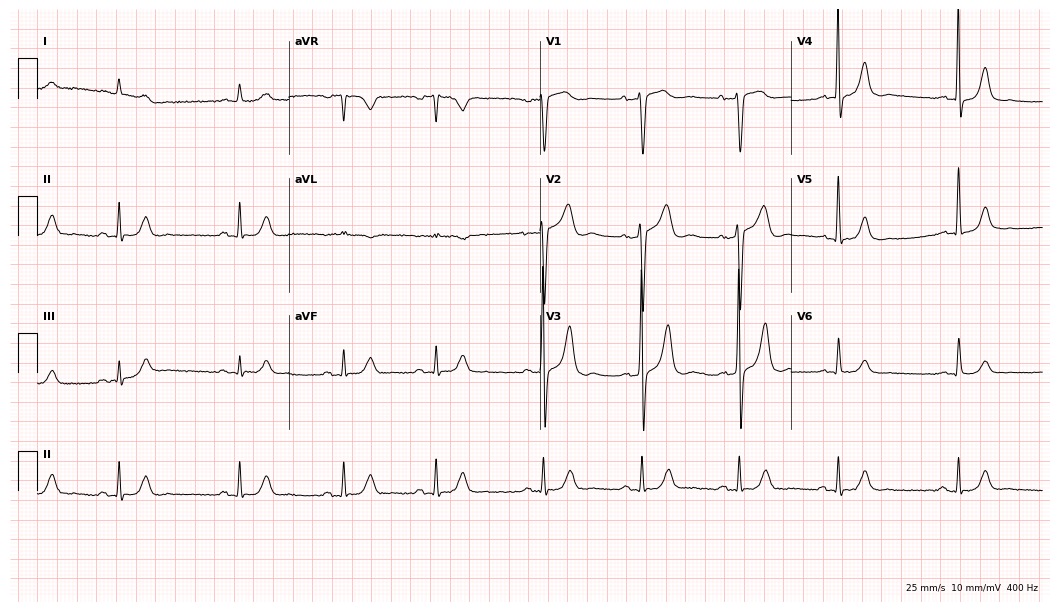
ECG — a man, 80 years old. Labelled as a normal ECG.